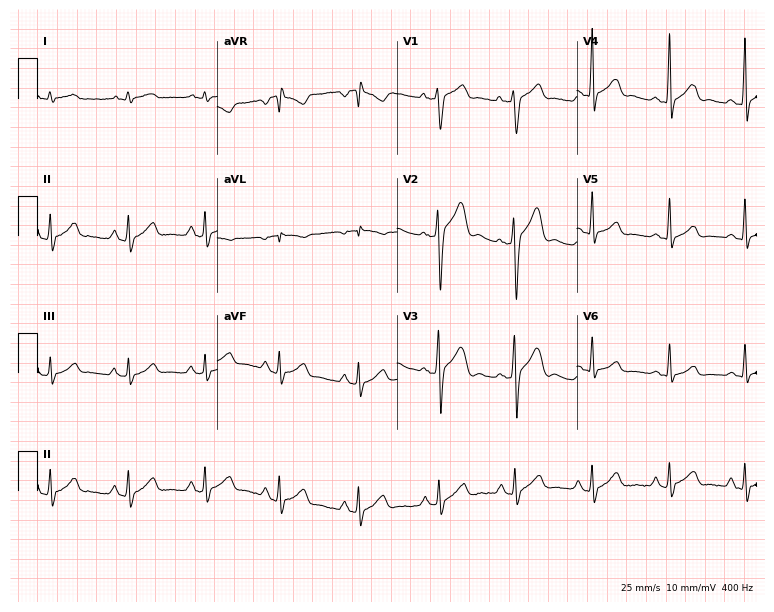
Resting 12-lead electrocardiogram (7.3-second recording at 400 Hz). Patient: a male, 22 years old. None of these six findings is recorded: first-degree AV block, right bundle branch block, left bundle branch block, sinus bradycardia, atrial fibrillation, sinus tachycardia. Other findings, if any, are not listed.